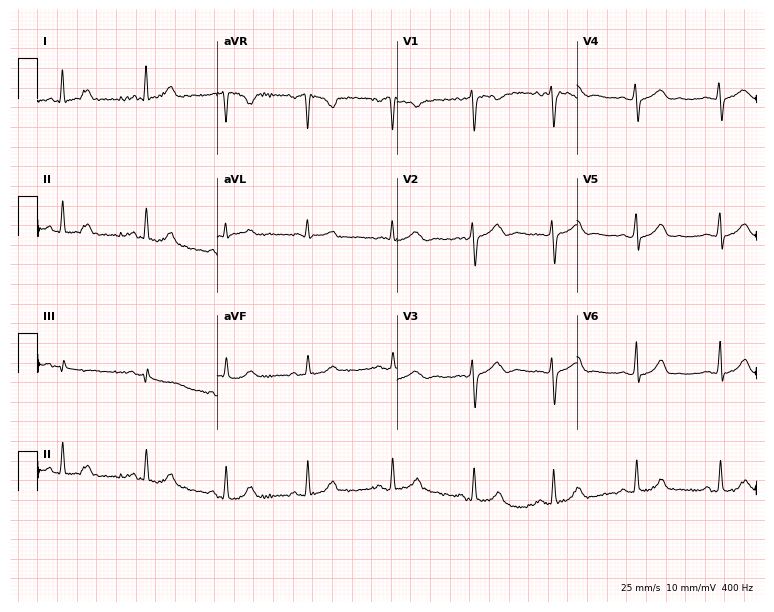
Resting 12-lead electrocardiogram. Patient: a 28-year-old female. None of these six findings is recorded: first-degree AV block, right bundle branch block, left bundle branch block, sinus bradycardia, atrial fibrillation, sinus tachycardia.